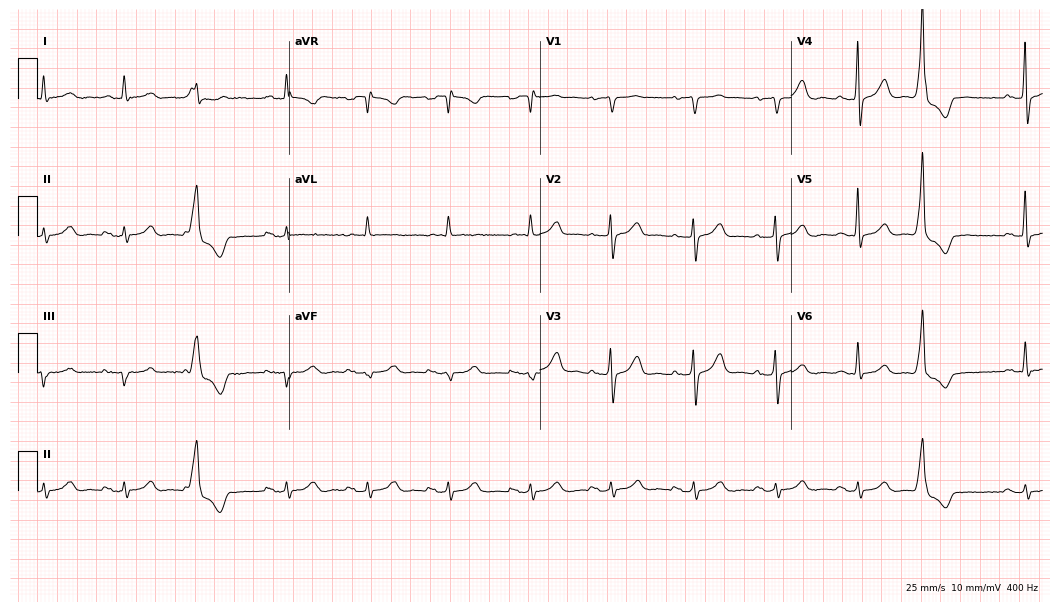
ECG (10.2-second recording at 400 Hz) — a man, 74 years old. Screened for six findings — first-degree AV block, right bundle branch block, left bundle branch block, sinus bradycardia, atrial fibrillation, sinus tachycardia — none is recorded.